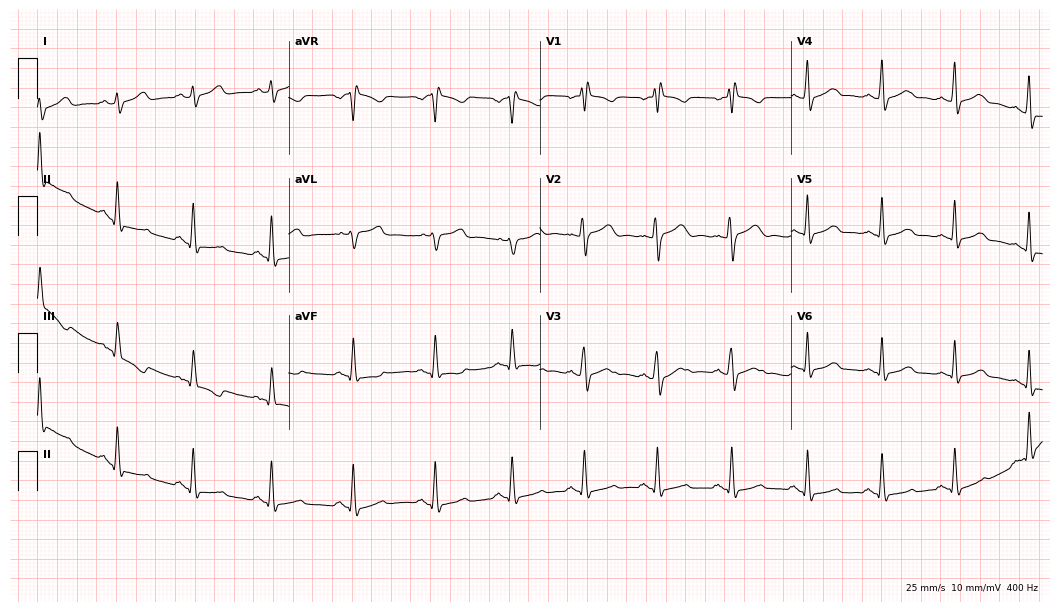
ECG (10.2-second recording at 400 Hz) — a 20-year-old female. Findings include right bundle branch block.